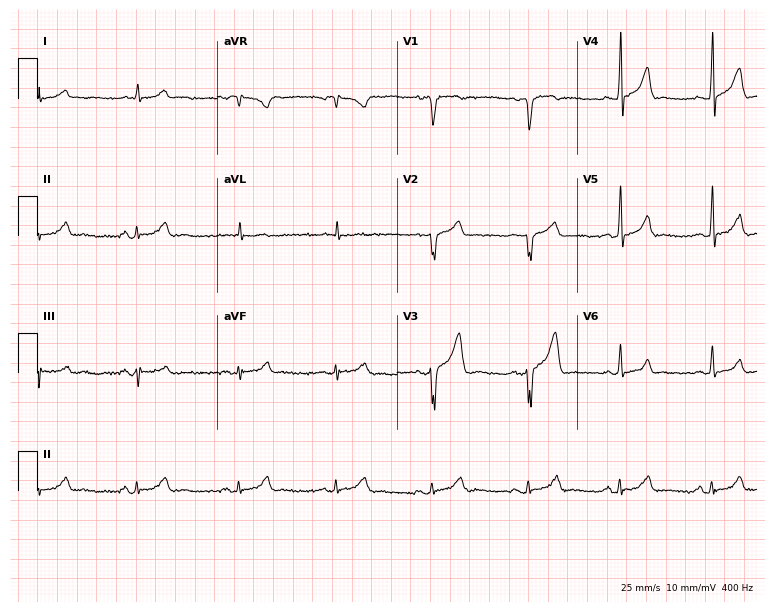
12-lead ECG from a man, 39 years old. Recorded interpretation: within normal limits.